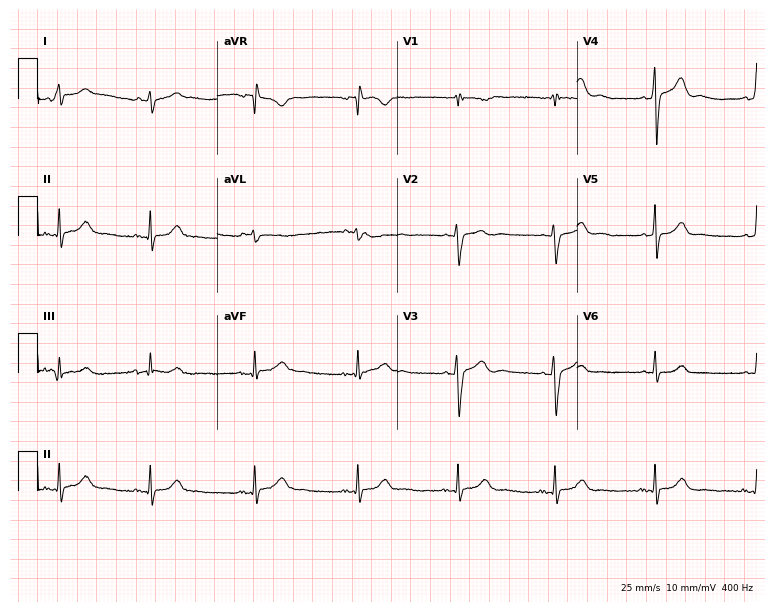
12-lead ECG from a 31-year-old male. Recorded interpretation: within normal limits.